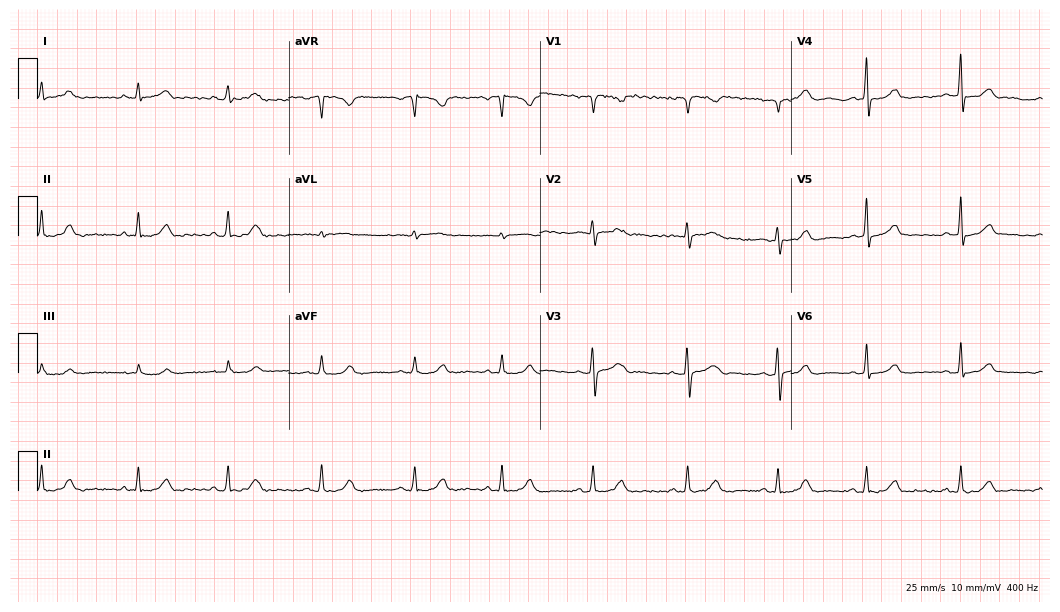
ECG — a 36-year-old female. Labelled as a normal ECG.